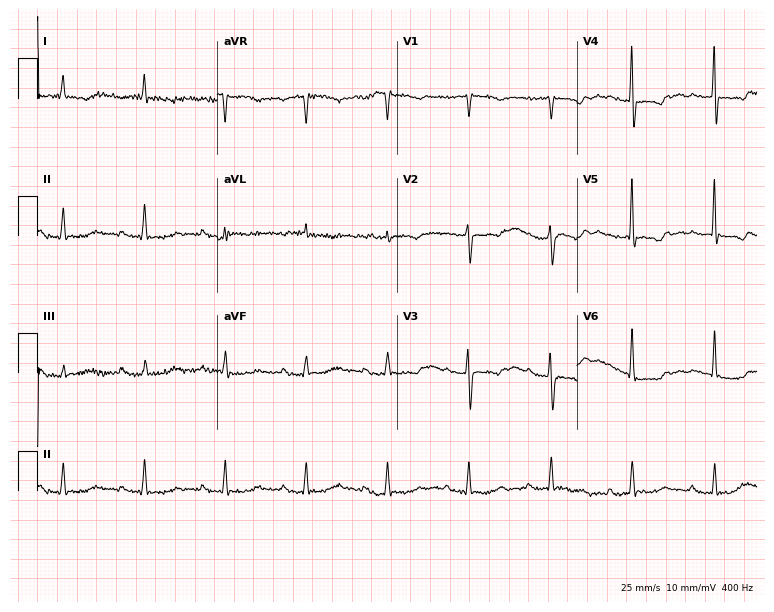
12-lead ECG (7.3-second recording at 400 Hz) from a man, 81 years old. Findings include first-degree AV block.